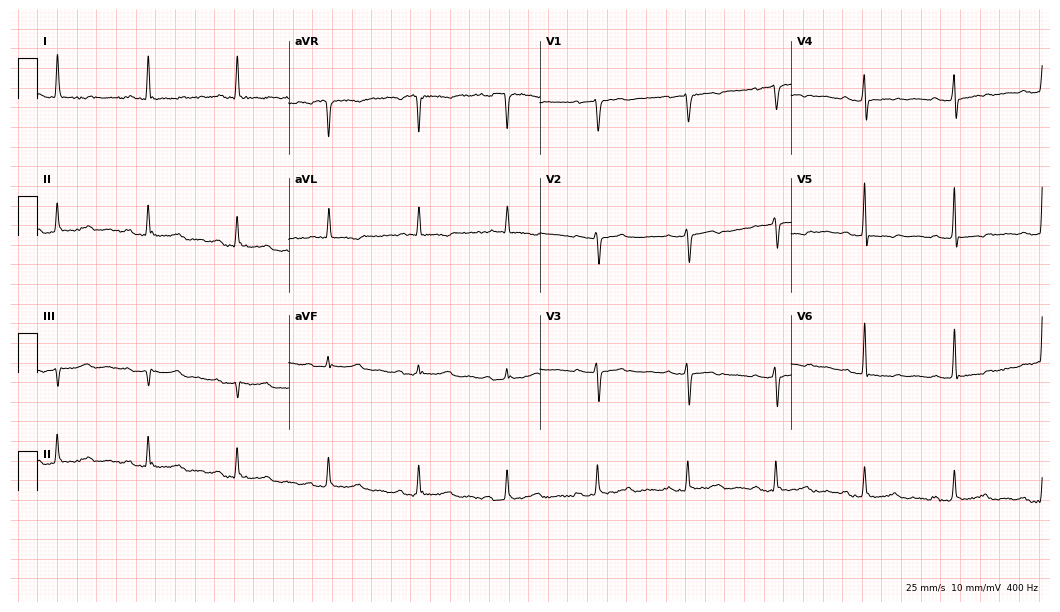
Resting 12-lead electrocardiogram. Patient: a 71-year-old female. None of these six findings is recorded: first-degree AV block, right bundle branch block, left bundle branch block, sinus bradycardia, atrial fibrillation, sinus tachycardia. Findings outside these six are not listed.